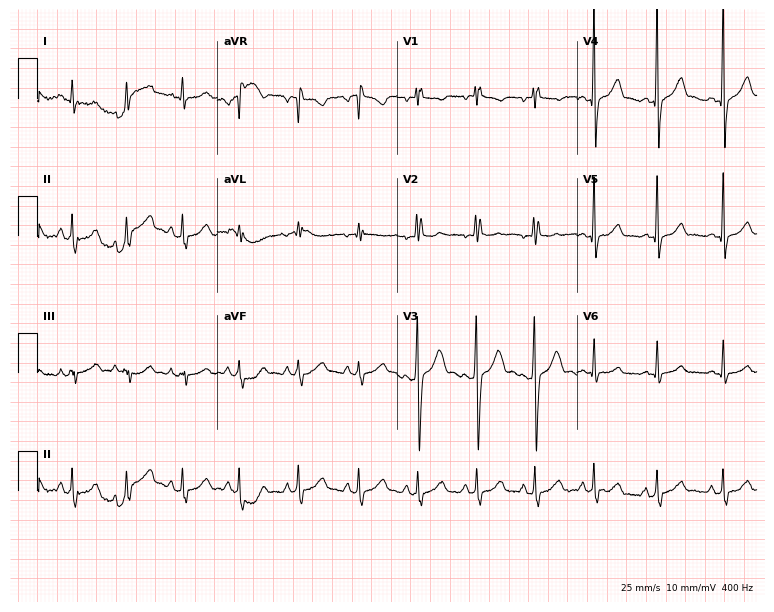
Standard 12-lead ECG recorded from a man, 18 years old (7.3-second recording at 400 Hz). Read as a normal ECG.